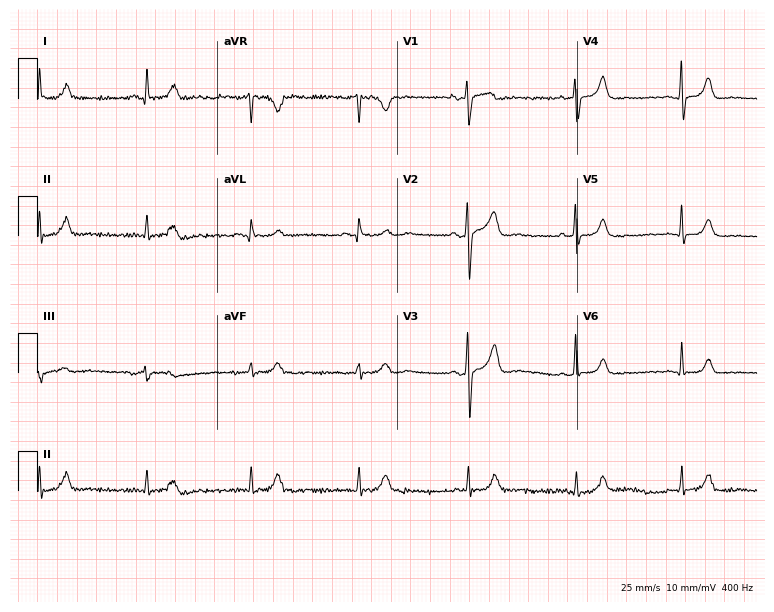
12-lead ECG from a 57-year-old woman (7.3-second recording at 400 Hz). Recorded interpretation: within normal limits.